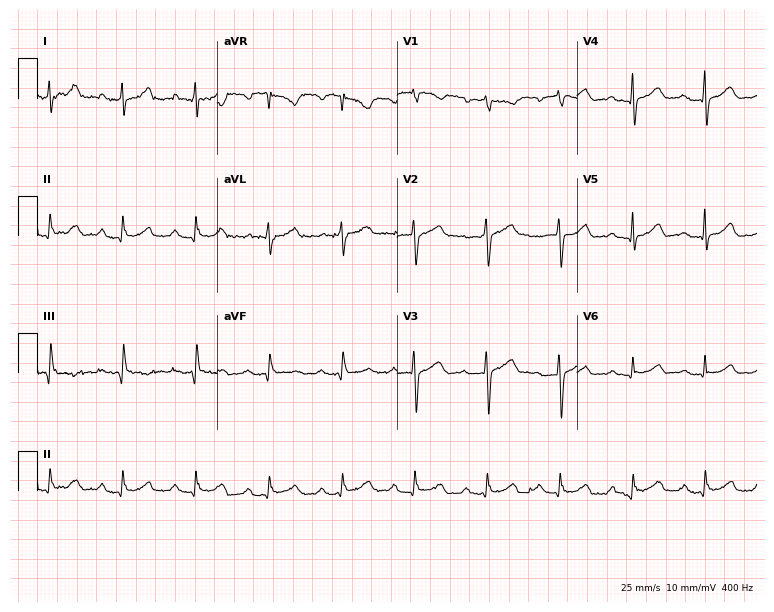
Standard 12-lead ECG recorded from a 60-year-old woman. The tracing shows first-degree AV block.